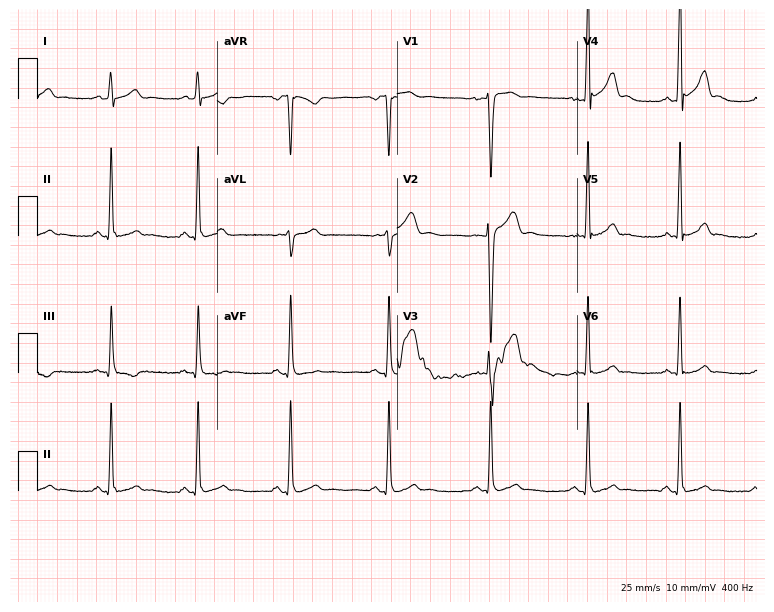
ECG — a man, 34 years old. Screened for six findings — first-degree AV block, right bundle branch block (RBBB), left bundle branch block (LBBB), sinus bradycardia, atrial fibrillation (AF), sinus tachycardia — none is recorded. Findings outside these six are not listed.